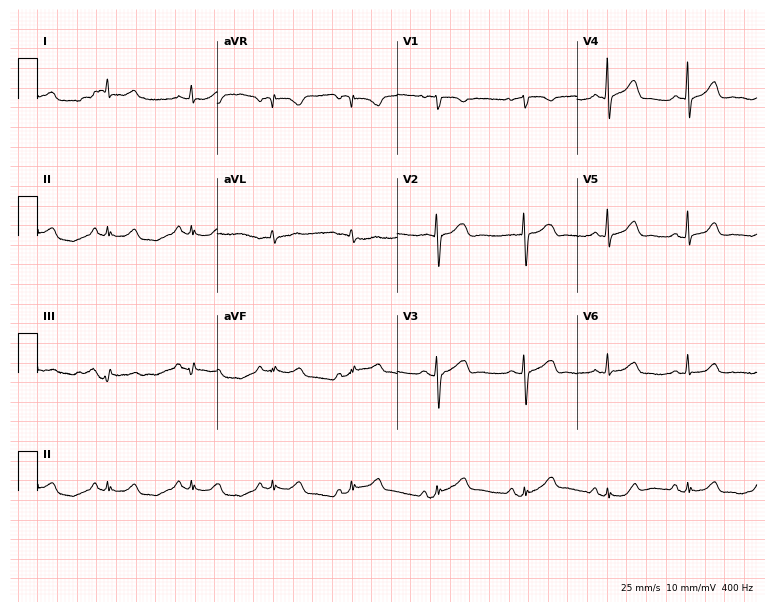
Electrocardiogram, a female, 57 years old. Overall reading on record: normal ECG.